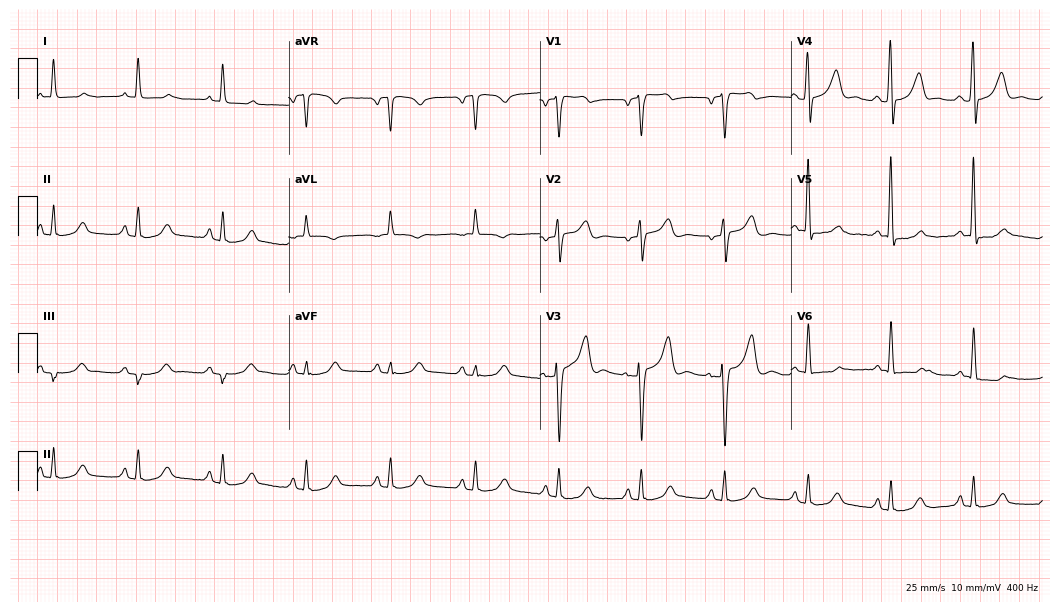
Standard 12-lead ECG recorded from a 65-year-old male. None of these six findings is recorded: first-degree AV block, right bundle branch block (RBBB), left bundle branch block (LBBB), sinus bradycardia, atrial fibrillation (AF), sinus tachycardia. Findings outside these six are not listed.